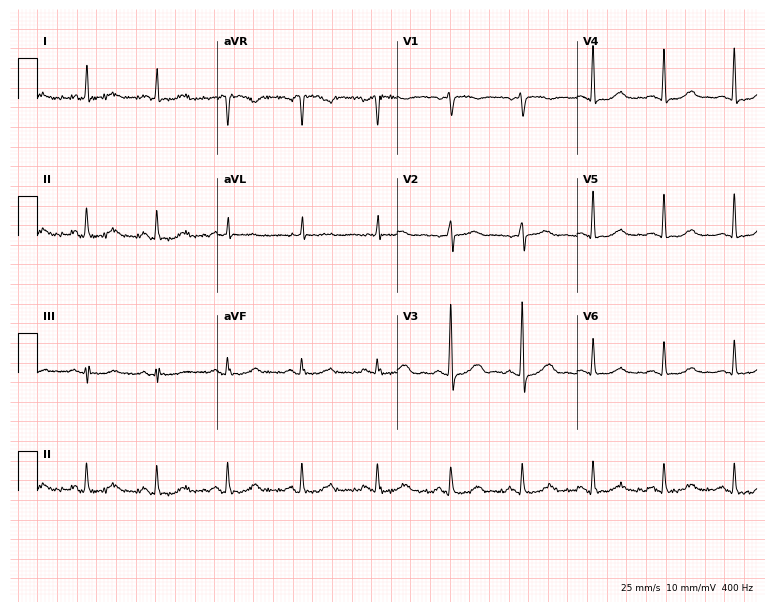
ECG (7.3-second recording at 400 Hz) — a woman, 71 years old. Labelled as a normal ECG.